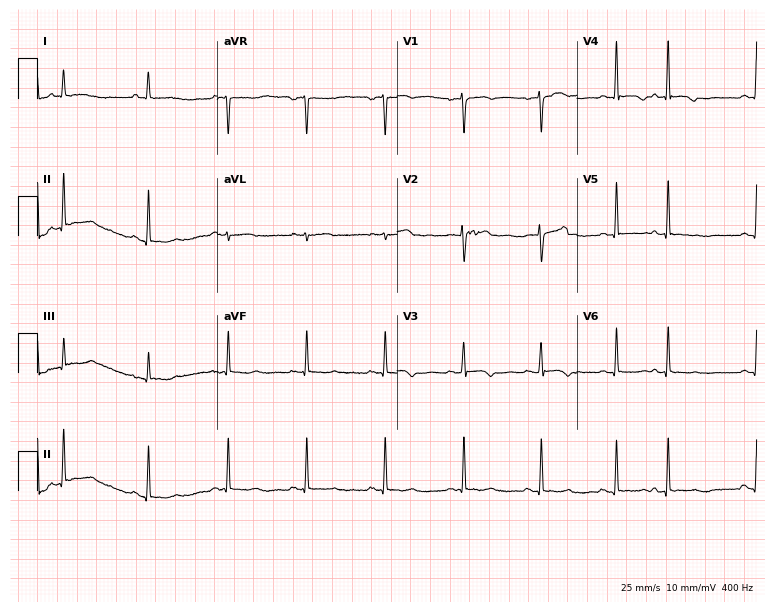
Resting 12-lead electrocardiogram (7.3-second recording at 400 Hz). Patient: a woman, 46 years old. None of these six findings is recorded: first-degree AV block, right bundle branch block (RBBB), left bundle branch block (LBBB), sinus bradycardia, atrial fibrillation (AF), sinus tachycardia. Findings outside these six are not listed.